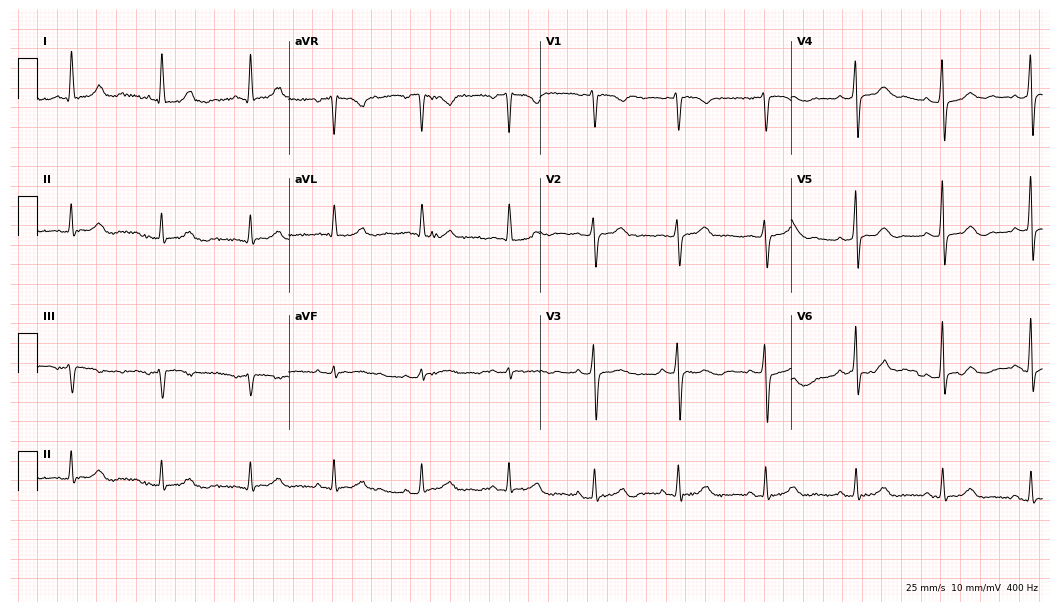
Resting 12-lead electrocardiogram (10.2-second recording at 400 Hz). Patient: a woman, 64 years old. Read as a normal ECG.